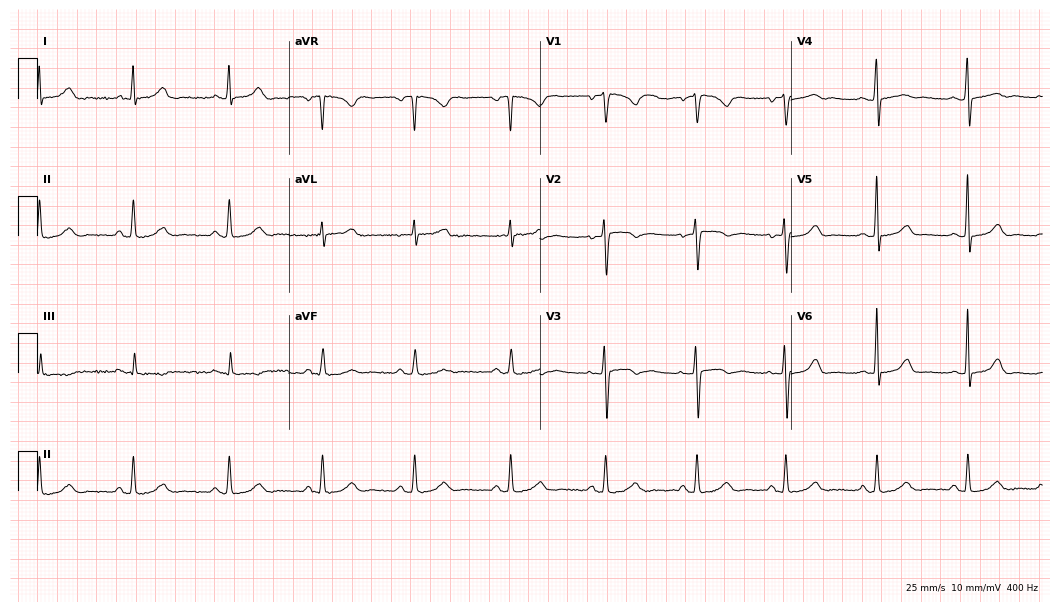
Electrocardiogram (10.2-second recording at 400 Hz), a woman, 47 years old. Overall reading on record: normal ECG.